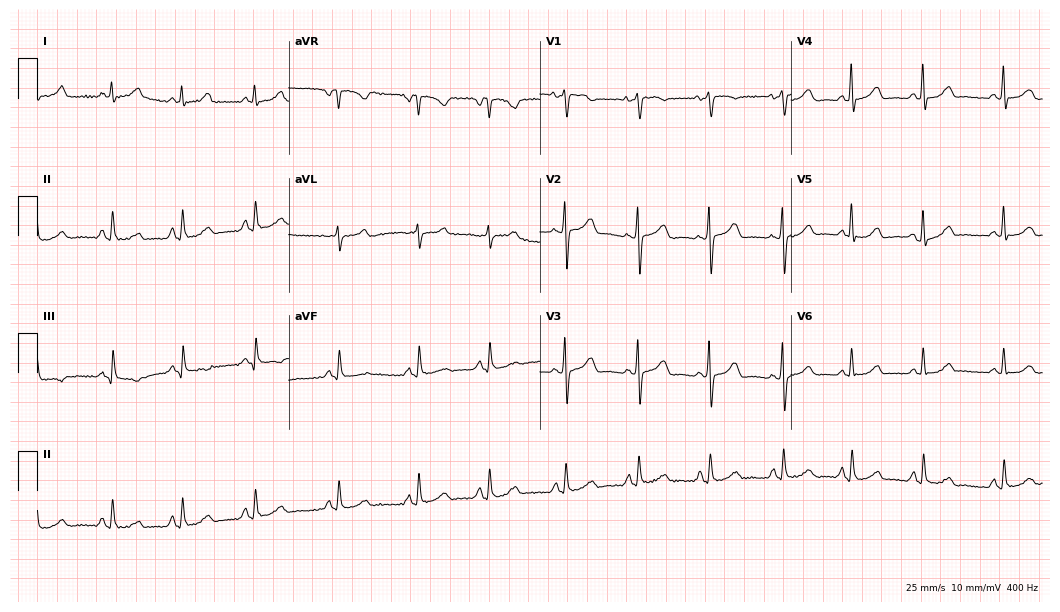
12-lead ECG from a female patient, 56 years old. Labelled as a normal ECG.